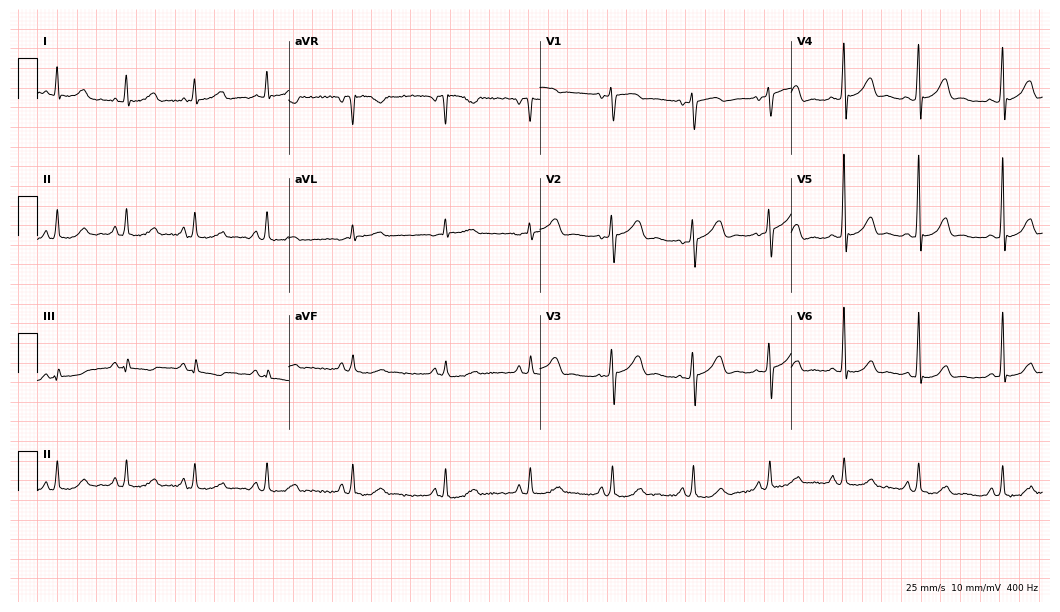
Electrocardiogram (10.2-second recording at 400 Hz), a 50-year-old woman. Overall reading on record: normal ECG.